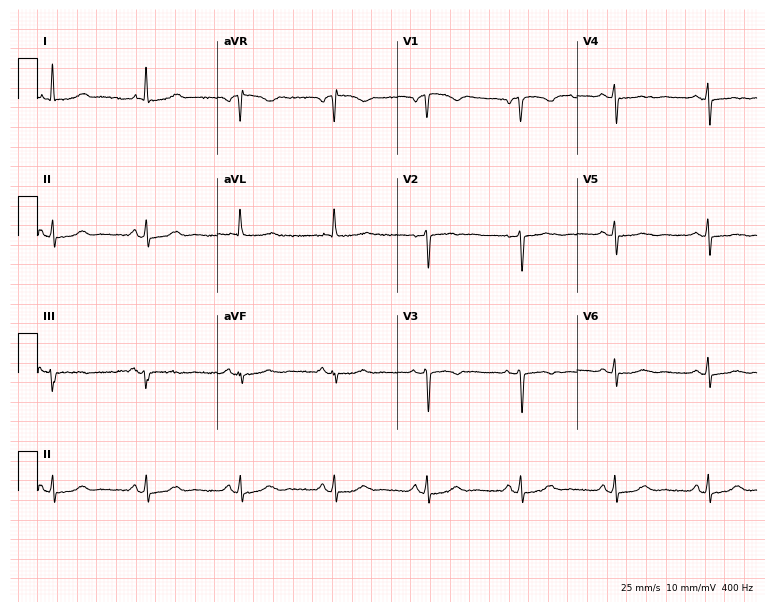
12-lead ECG from a female patient, 71 years old. Screened for six findings — first-degree AV block, right bundle branch block (RBBB), left bundle branch block (LBBB), sinus bradycardia, atrial fibrillation (AF), sinus tachycardia — none is recorded. Only these six findings were labelled.